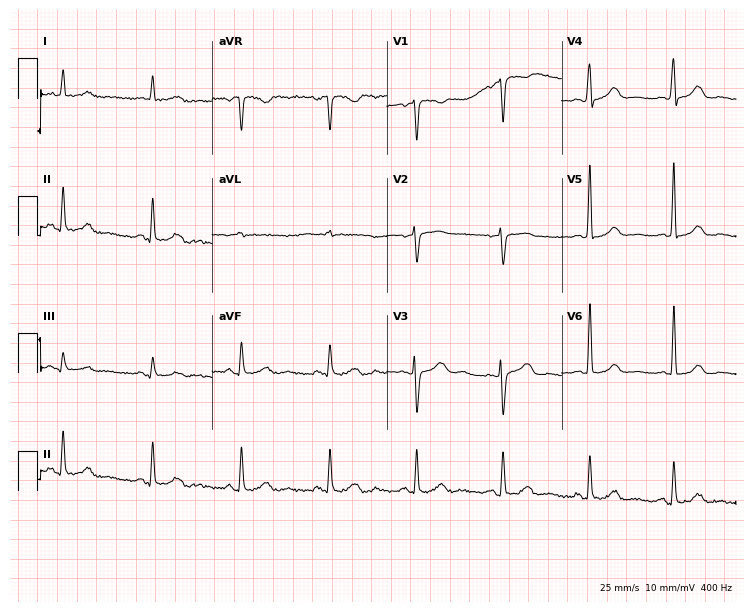
12-lead ECG (7.1-second recording at 400 Hz) from a woman, 54 years old. Screened for six findings — first-degree AV block, right bundle branch block, left bundle branch block, sinus bradycardia, atrial fibrillation, sinus tachycardia — none is recorded. Only these six findings were labelled.